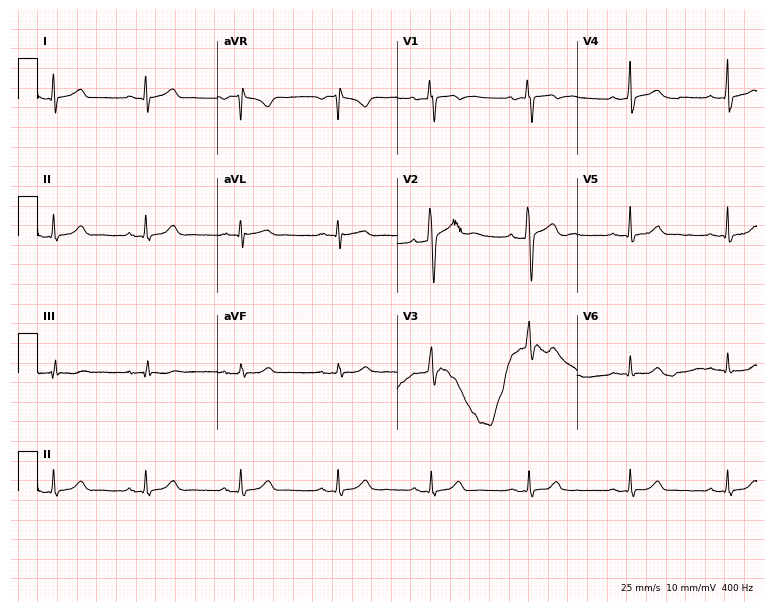
ECG (7.3-second recording at 400 Hz) — a man, 31 years old. Screened for six findings — first-degree AV block, right bundle branch block (RBBB), left bundle branch block (LBBB), sinus bradycardia, atrial fibrillation (AF), sinus tachycardia — none is recorded. Only these six findings were labelled.